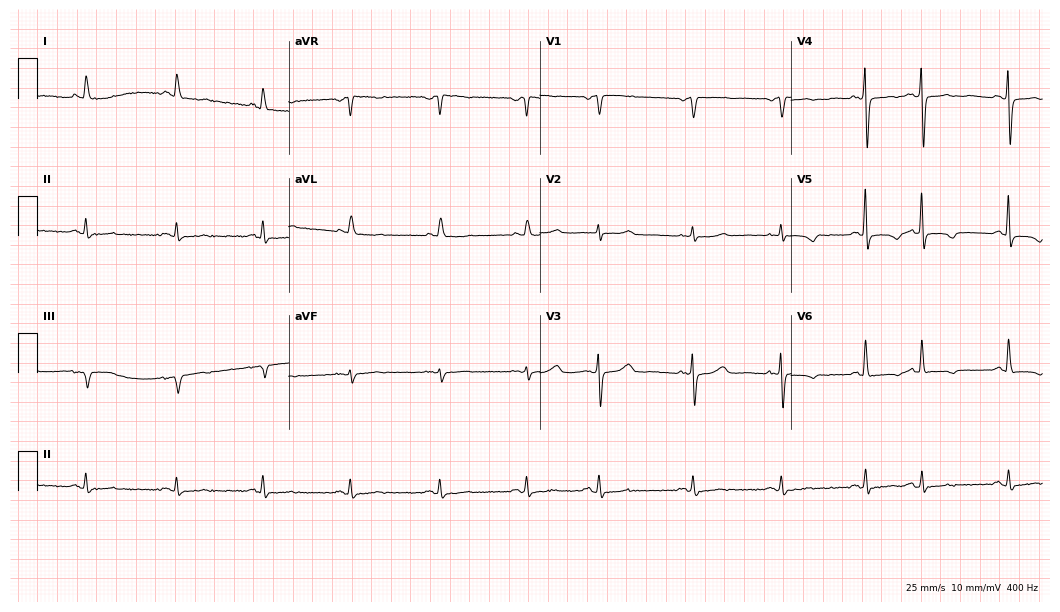
12-lead ECG from a female, 82 years old (10.2-second recording at 400 Hz). No first-degree AV block, right bundle branch block, left bundle branch block, sinus bradycardia, atrial fibrillation or sinus tachycardia recorded for this tracing. Other findings, if any, are not listed.